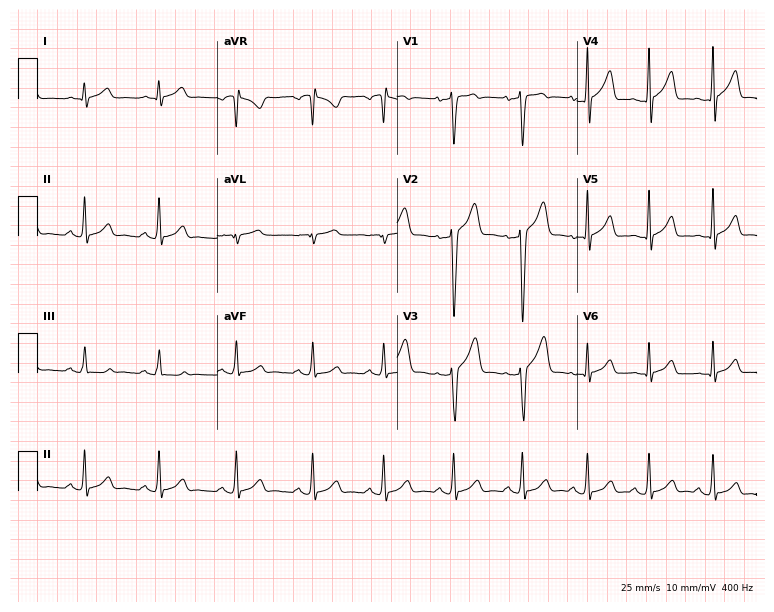
Electrocardiogram (7.3-second recording at 400 Hz), a 20-year-old man. Of the six screened findings (first-degree AV block, right bundle branch block, left bundle branch block, sinus bradycardia, atrial fibrillation, sinus tachycardia), none is recorded. Findings outside these six are not listed.